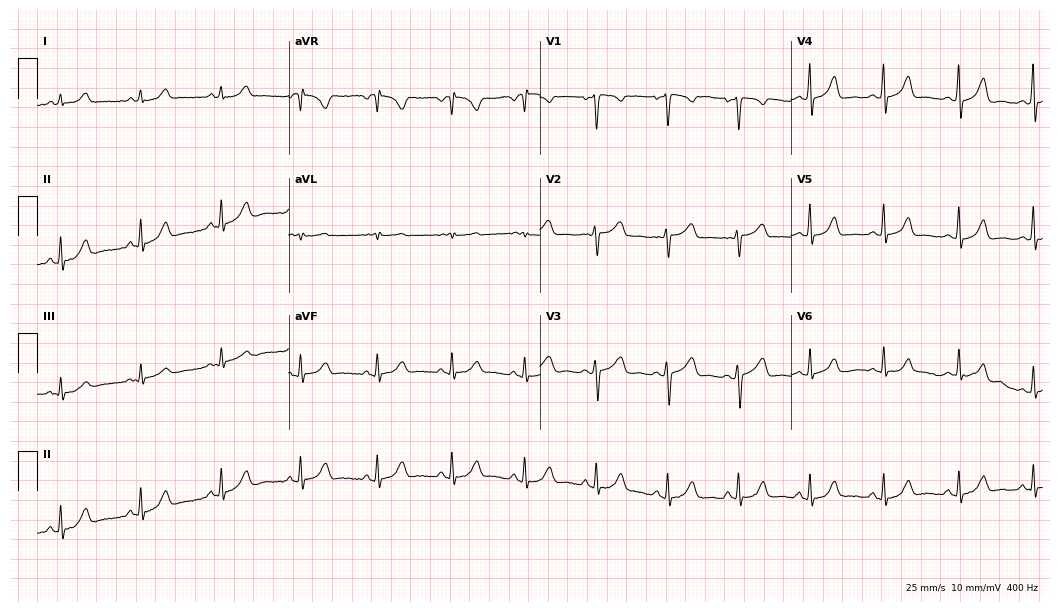
ECG (10.2-second recording at 400 Hz) — a 43-year-old female patient. Labelled as a normal ECG.